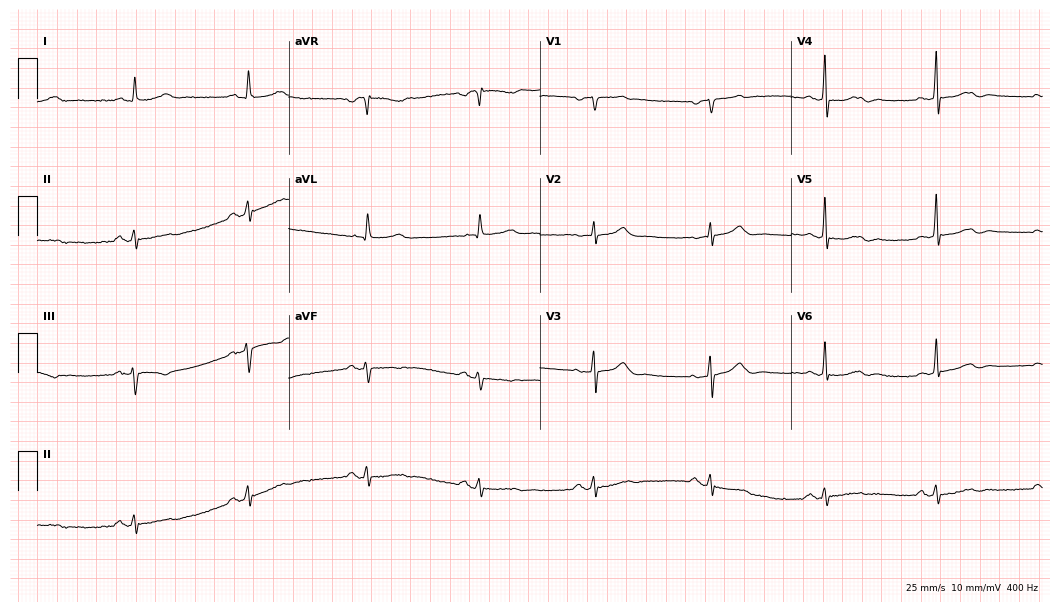
12-lead ECG from an 84-year-old woman. Recorded interpretation: within normal limits.